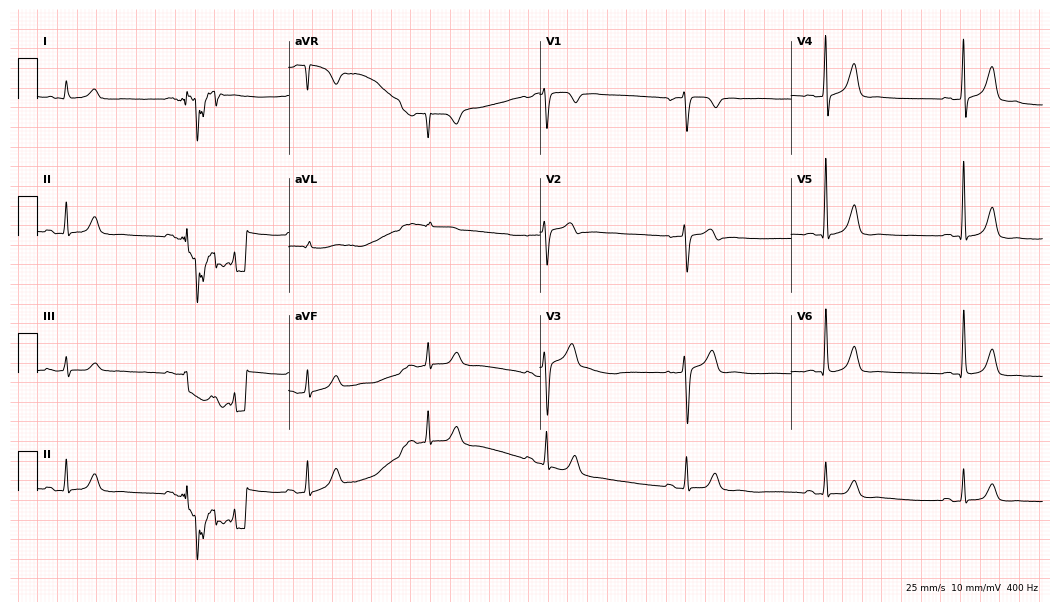
12-lead ECG from a 62-year-old male. Shows sinus bradycardia (a sinus rate of 50 beats per minute or less).